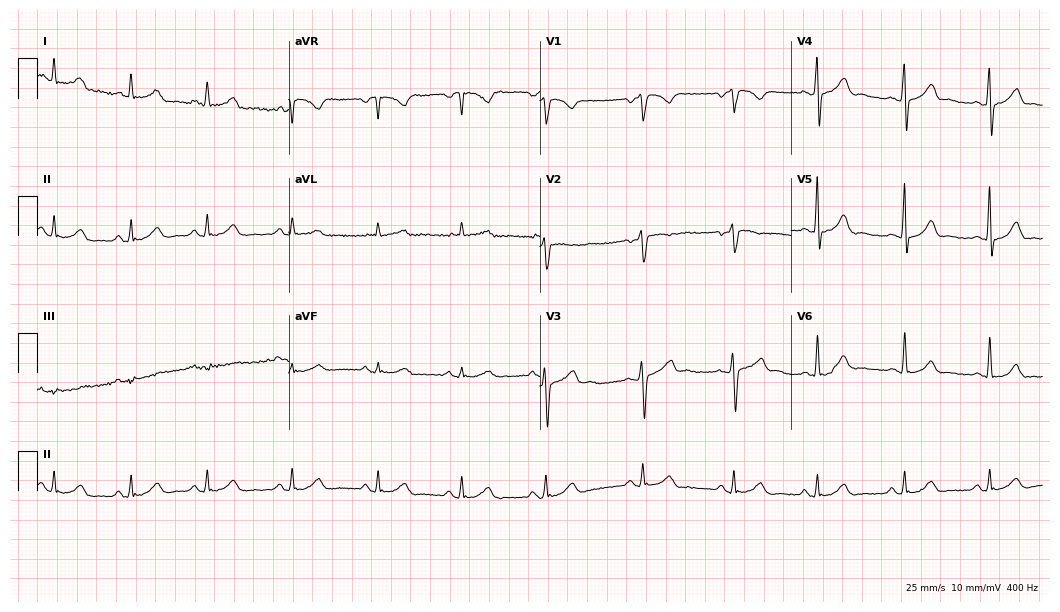
12-lead ECG from a 38-year-old male patient (10.2-second recording at 400 Hz). Recorded interpretation: within normal limits.